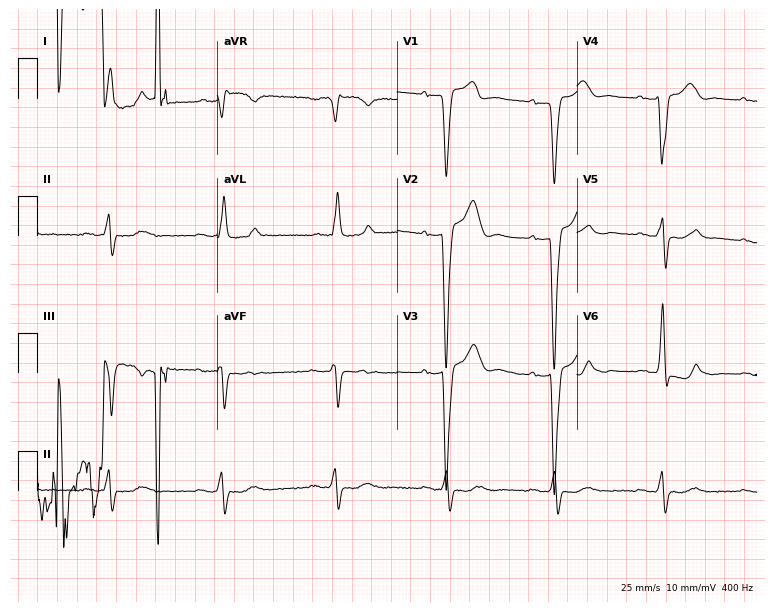
Electrocardiogram (7.3-second recording at 400 Hz), a 79-year-old male. Of the six screened findings (first-degree AV block, right bundle branch block (RBBB), left bundle branch block (LBBB), sinus bradycardia, atrial fibrillation (AF), sinus tachycardia), none is recorded. Other findings, if any, are not listed.